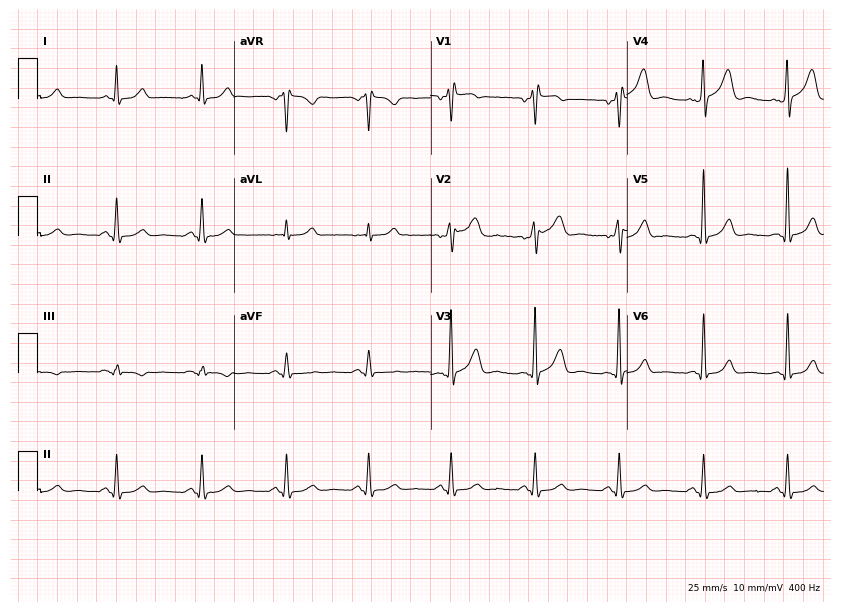
Electrocardiogram, a 48-year-old male. Of the six screened findings (first-degree AV block, right bundle branch block, left bundle branch block, sinus bradycardia, atrial fibrillation, sinus tachycardia), none is recorded.